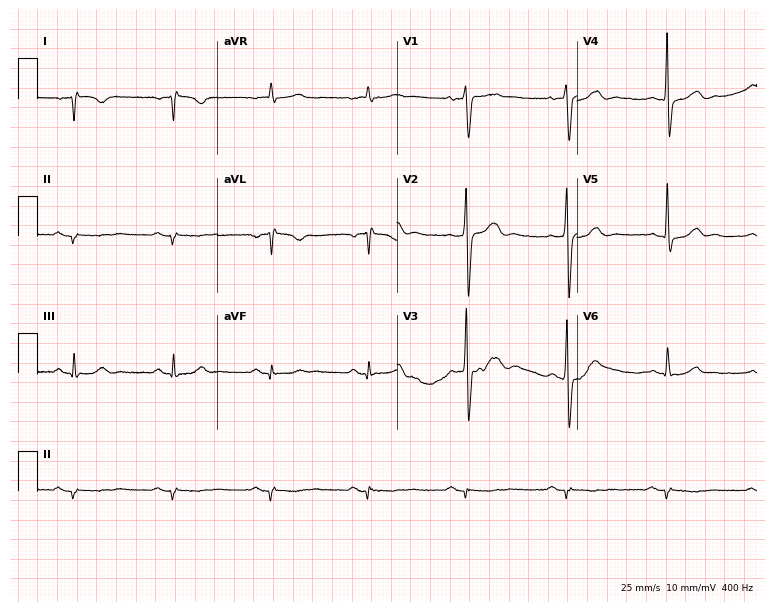
Electrocardiogram, a male, 63 years old. Of the six screened findings (first-degree AV block, right bundle branch block (RBBB), left bundle branch block (LBBB), sinus bradycardia, atrial fibrillation (AF), sinus tachycardia), none is recorded.